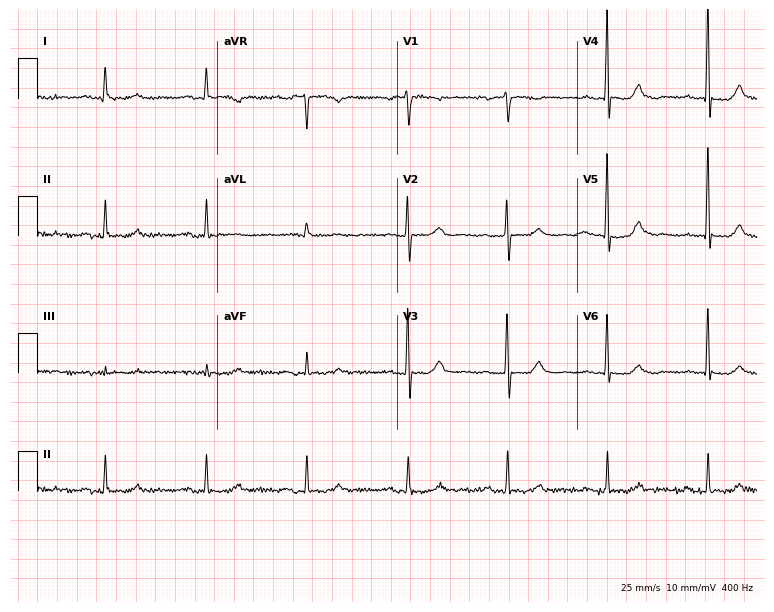
Standard 12-lead ECG recorded from a female, 84 years old (7.3-second recording at 400 Hz). Read as a normal ECG.